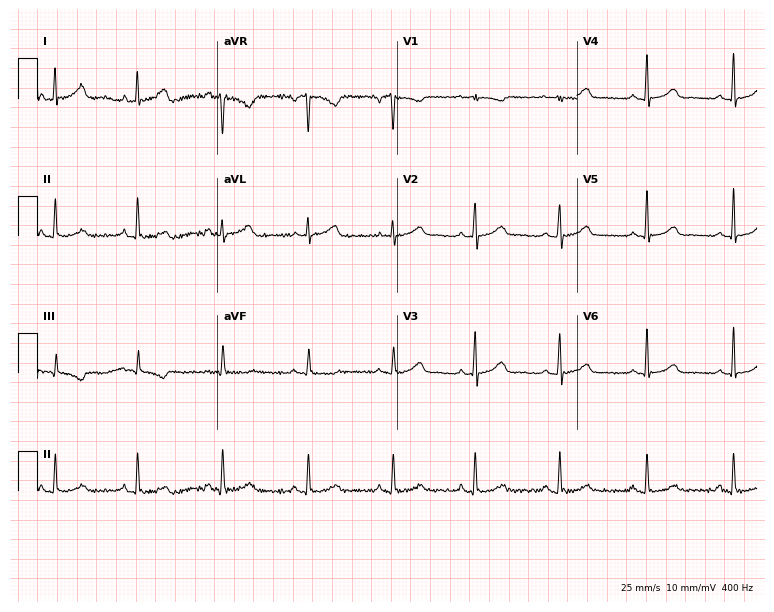
Standard 12-lead ECG recorded from a woman, 35 years old (7.3-second recording at 400 Hz). Read as a normal ECG.